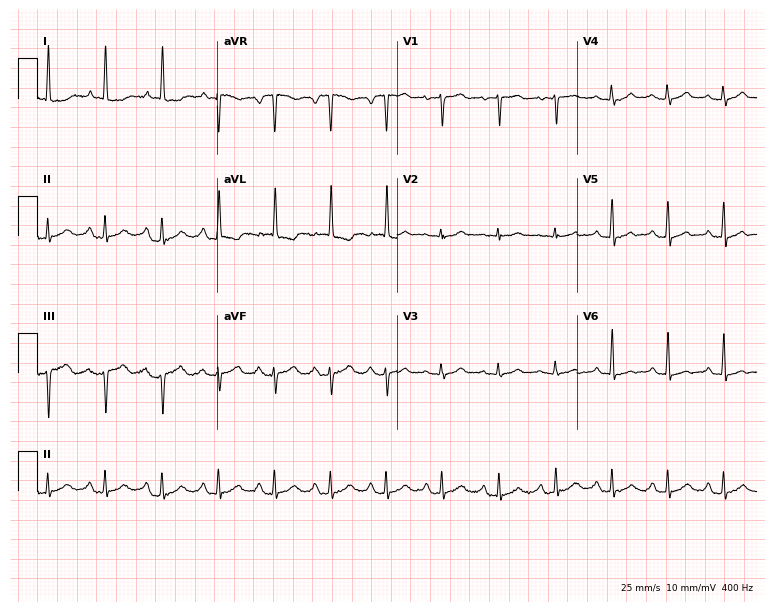
Resting 12-lead electrocardiogram (7.3-second recording at 400 Hz). Patient: a female, 84 years old. The tracing shows sinus tachycardia (a sinus rate of 100 beats per minute or more).